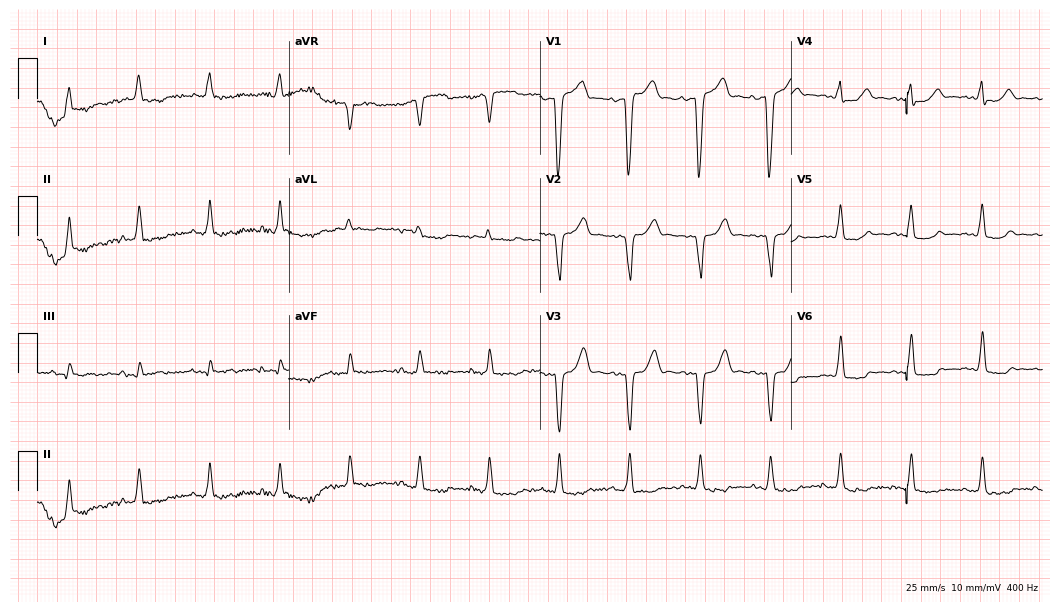
Electrocardiogram (10.2-second recording at 400 Hz), a male, 85 years old. Of the six screened findings (first-degree AV block, right bundle branch block (RBBB), left bundle branch block (LBBB), sinus bradycardia, atrial fibrillation (AF), sinus tachycardia), none is recorded. Findings outside these six are not listed.